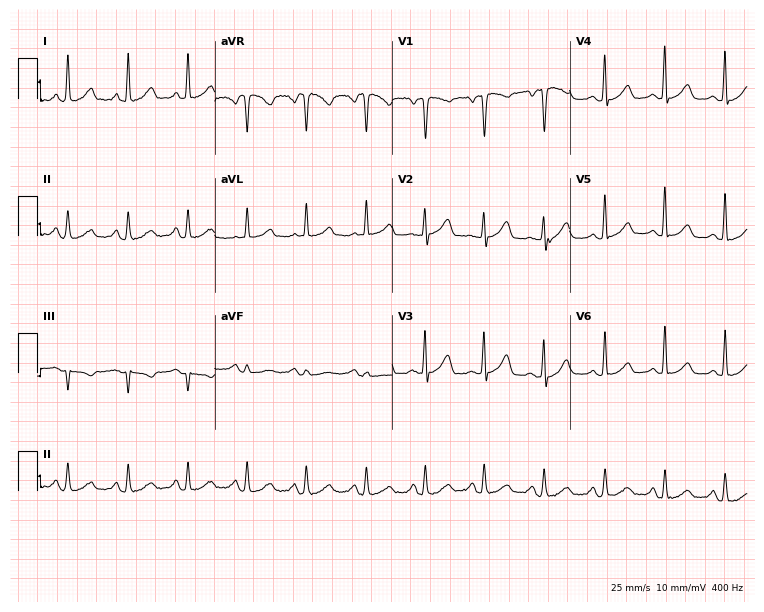
ECG — a woman, 47 years old. Labelled as a normal ECG.